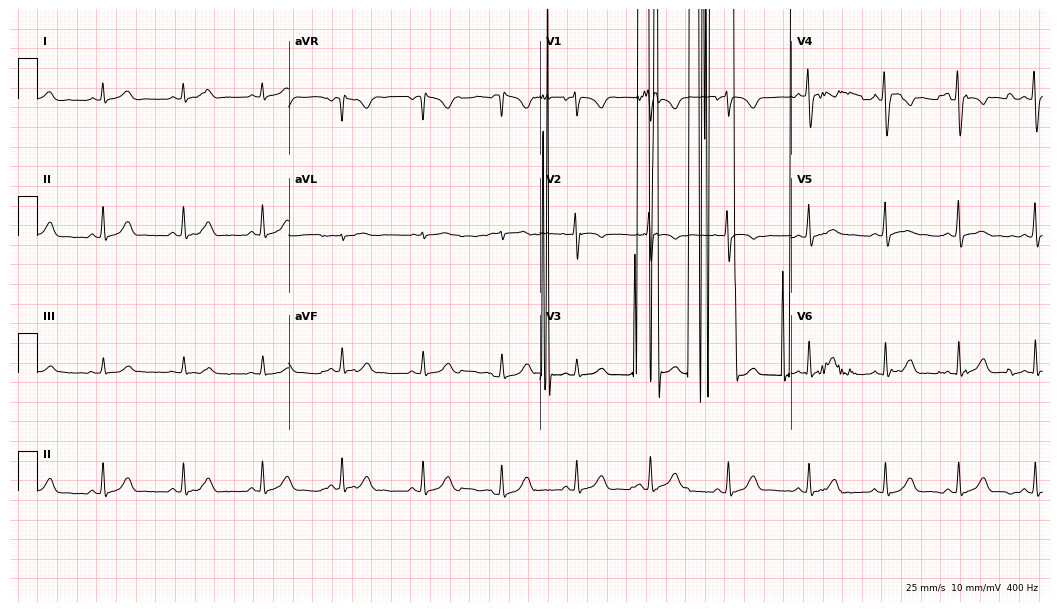
Standard 12-lead ECG recorded from a female, 18 years old. None of these six findings is recorded: first-degree AV block, right bundle branch block, left bundle branch block, sinus bradycardia, atrial fibrillation, sinus tachycardia. Only these six findings were labelled.